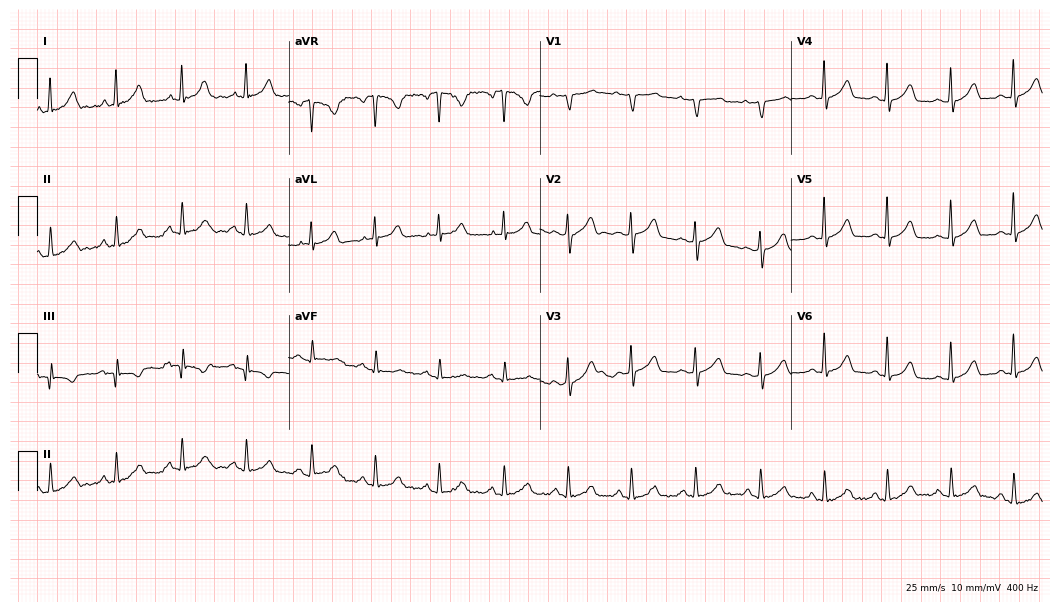
12-lead ECG from a woman, 41 years old. No first-degree AV block, right bundle branch block, left bundle branch block, sinus bradycardia, atrial fibrillation or sinus tachycardia recorded for this tracing.